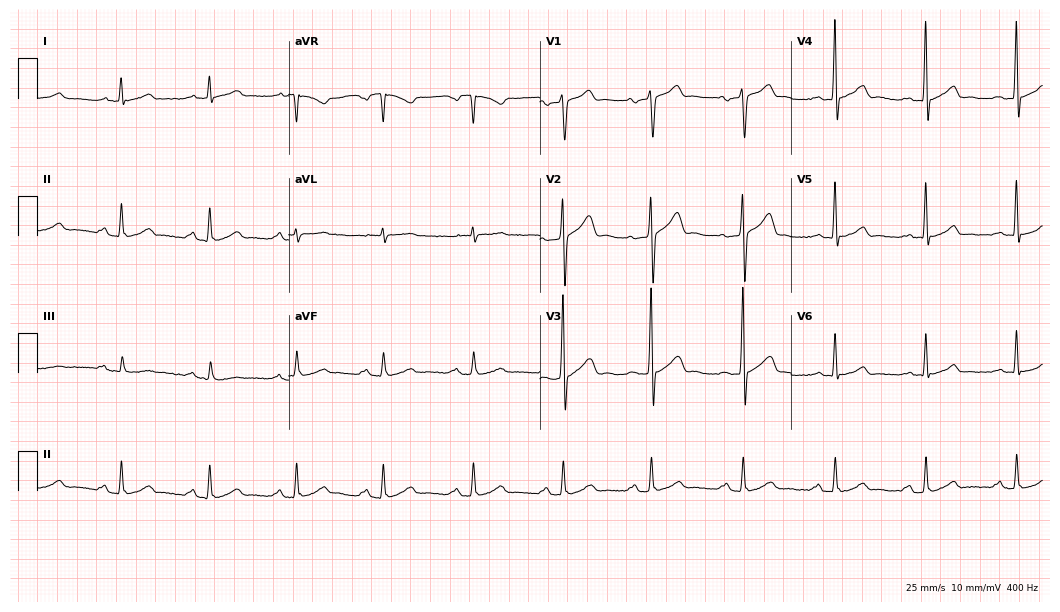
Resting 12-lead electrocardiogram (10.2-second recording at 400 Hz). Patient: a male, 56 years old. Read as a normal ECG.